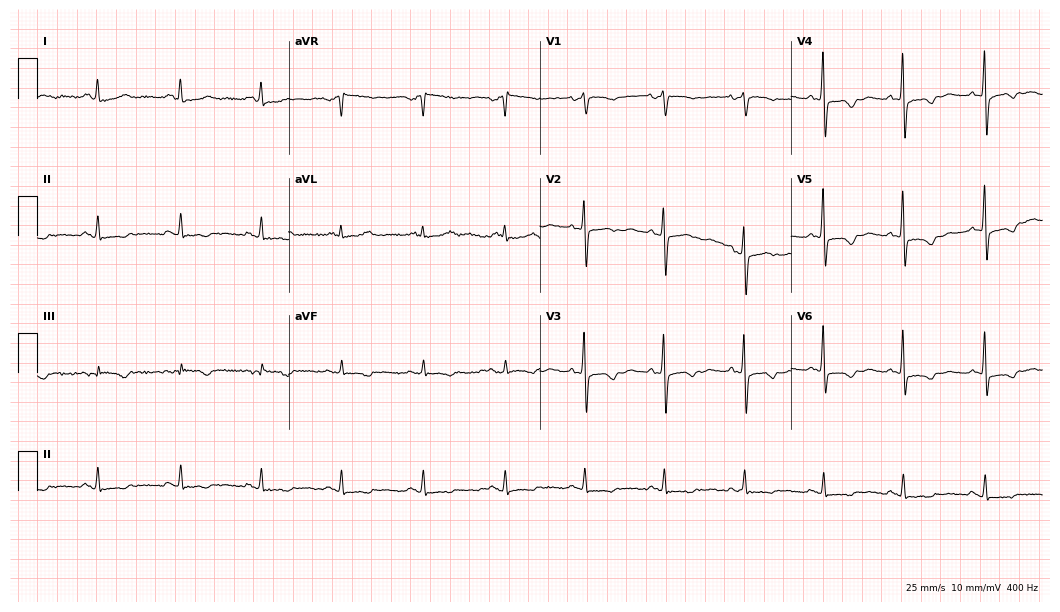
12-lead ECG from a 65-year-old woman (10.2-second recording at 400 Hz). No first-degree AV block, right bundle branch block (RBBB), left bundle branch block (LBBB), sinus bradycardia, atrial fibrillation (AF) or sinus tachycardia recorded for this tracing.